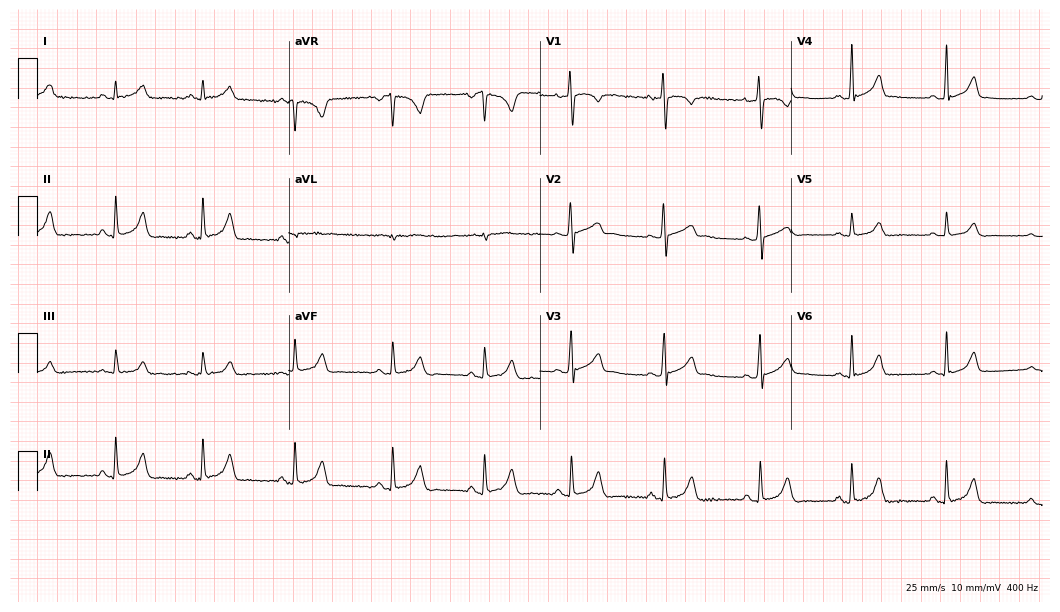
Standard 12-lead ECG recorded from a 23-year-old woman (10.2-second recording at 400 Hz). Read as a normal ECG.